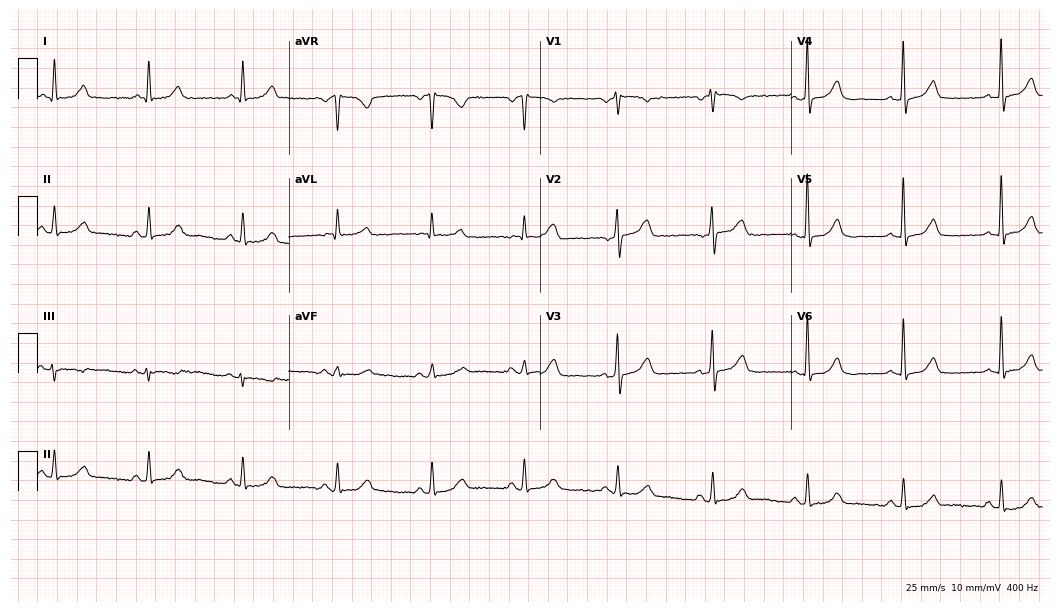
ECG — a 62-year-old woman. Labelled as a normal ECG.